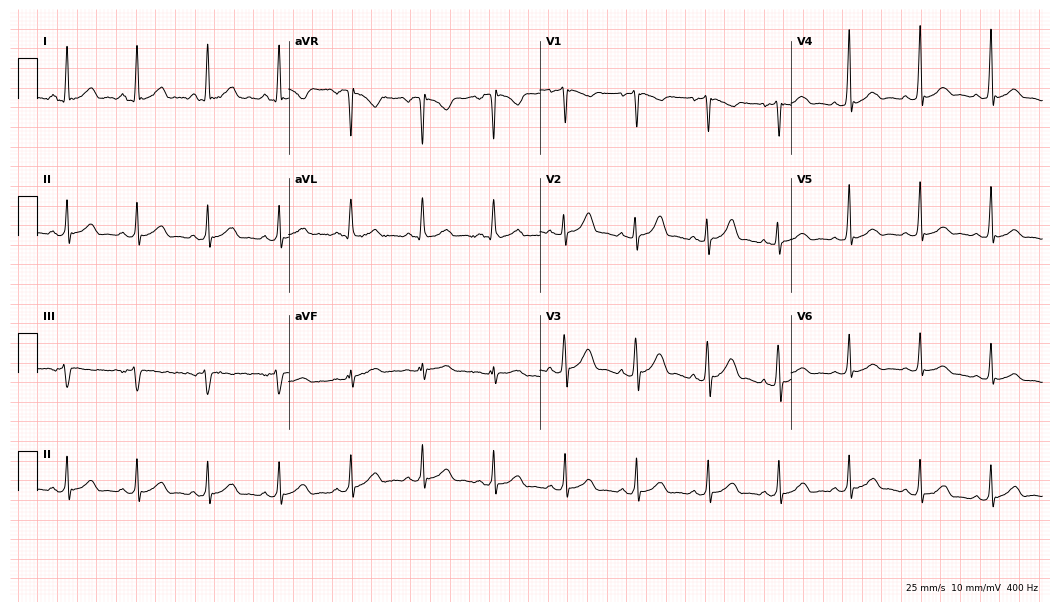
12-lead ECG (10.2-second recording at 400 Hz) from a male patient, 36 years old. Labelled as a normal ECG.